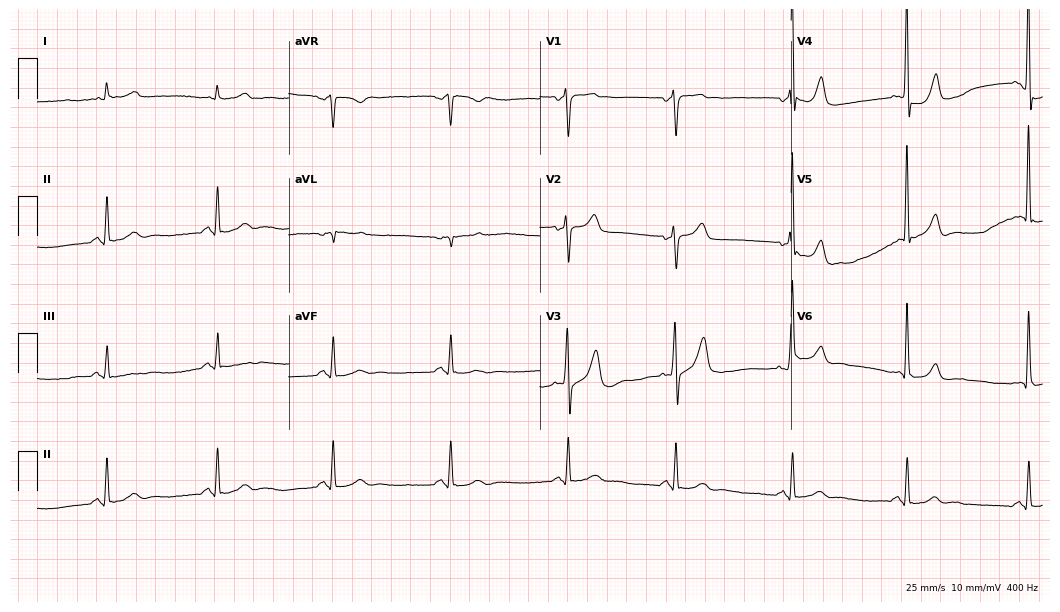
12-lead ECG from a 54-year-old male (10.2-second recording at 400 Hz). Recorded interpretation: within normal limits.